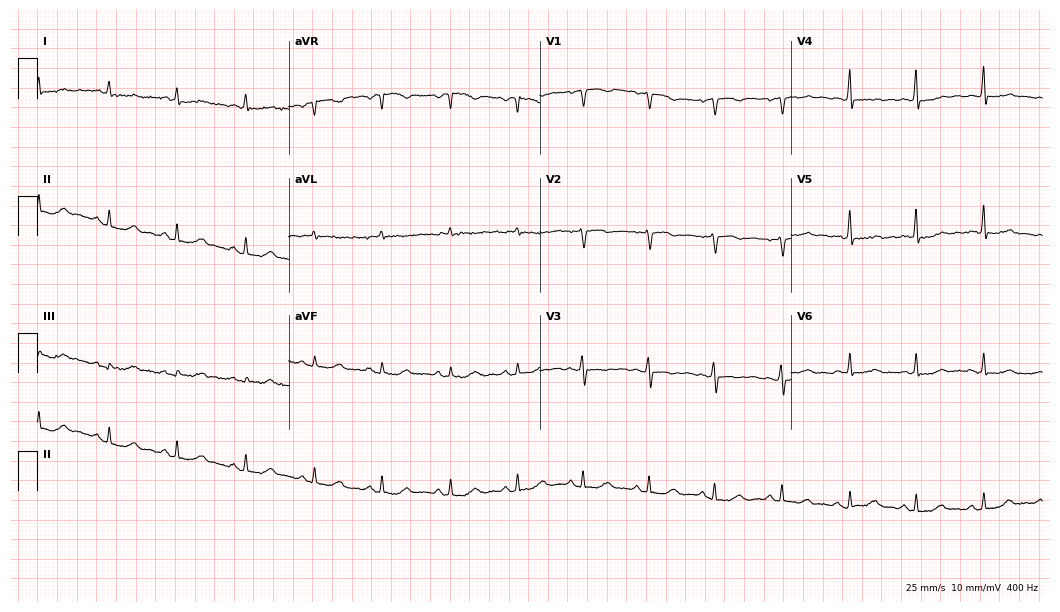
12-lead ECG from a 43-year-old female (10.2-second recording at 400 Hz). Recorded interpretation: within normal limits.